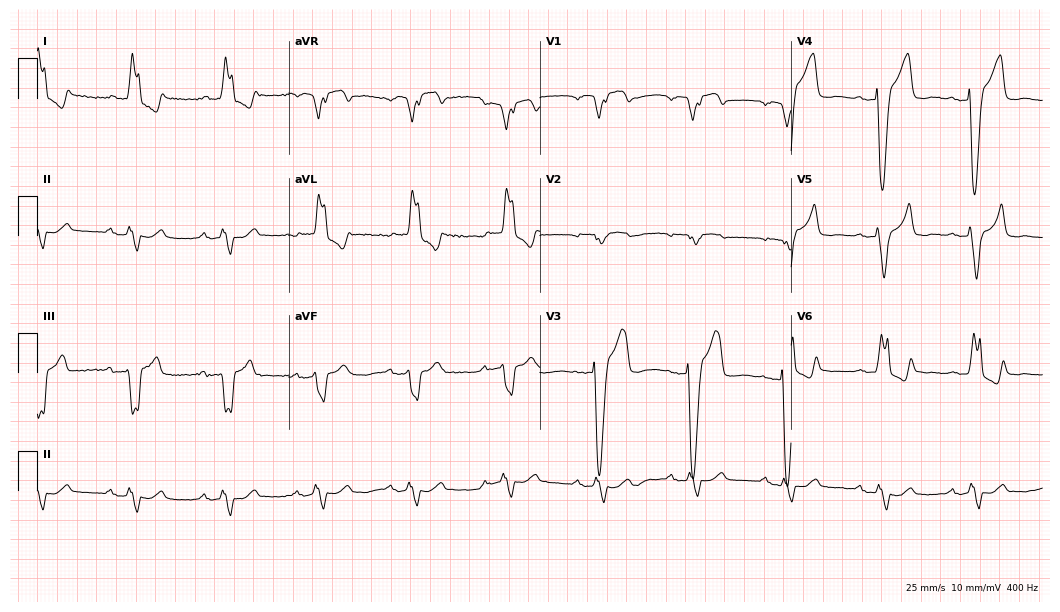
Standard 12-lead ECG recorded from an 82-year-old female. None of these six findings is recorded: first-degree AV block, right bundle branch block, left bundle branch block, sinus bradycardia, atrial fibrillation, sinus tachycardia.